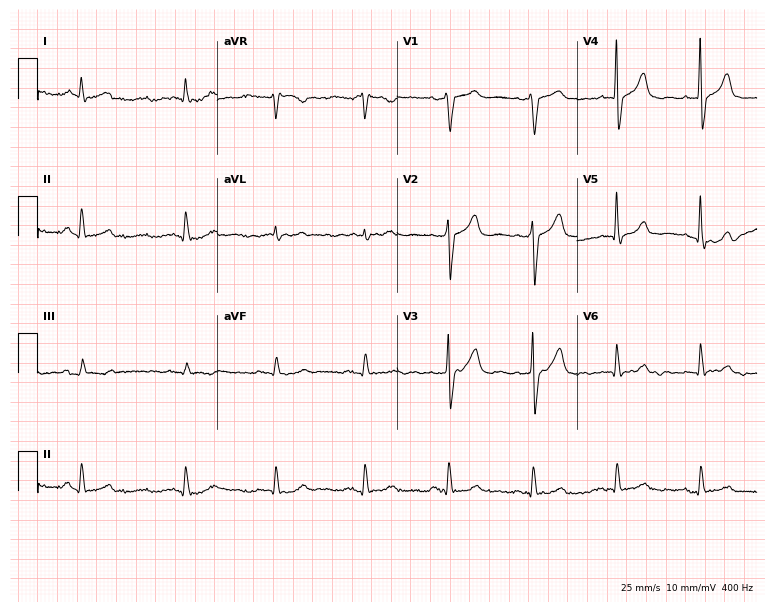
Electrocardiogram, a male, 75 years old. Of the six screened findings (first-degree AV block, right bundle branch block, left bundle branch block, sinus bradycardia, atrial fibrillation, sinus tachycardia), none is recorded. Other findings, if any, are not listed.